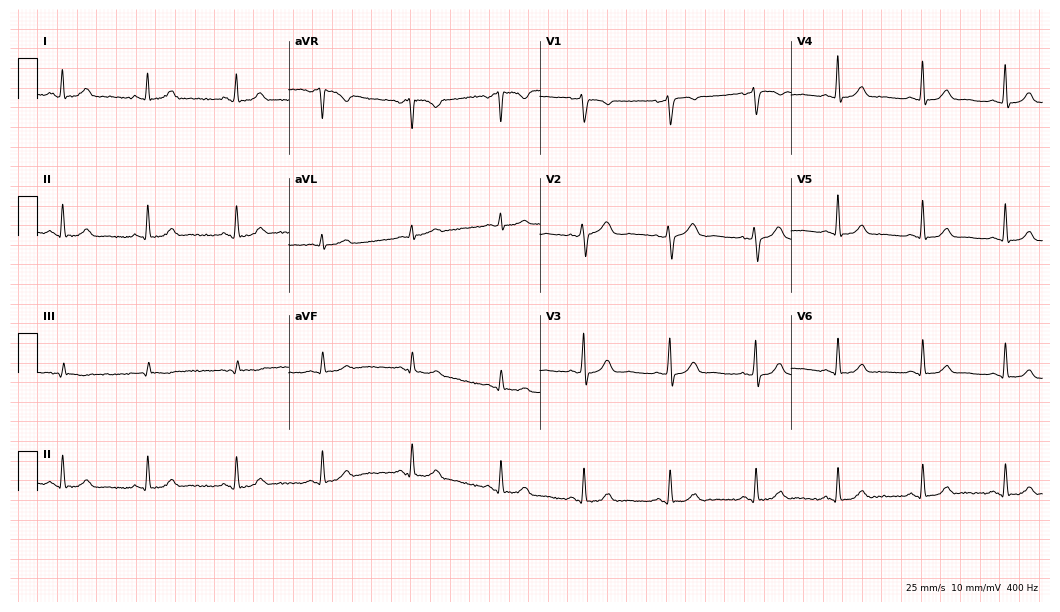
12-lead ECG from a 42-year-old female. Labelled as a normal ECG.